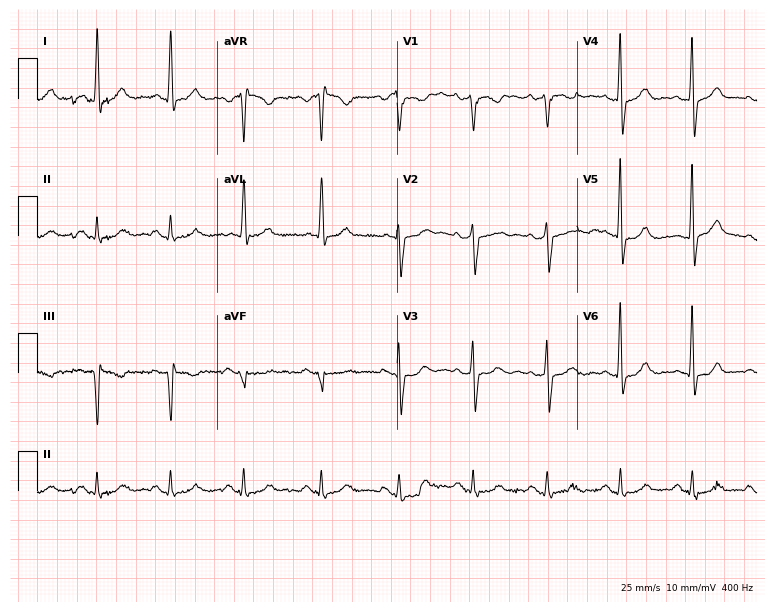
12-lead ECG from a 77-year-old man. Labelled as a normal ECG.